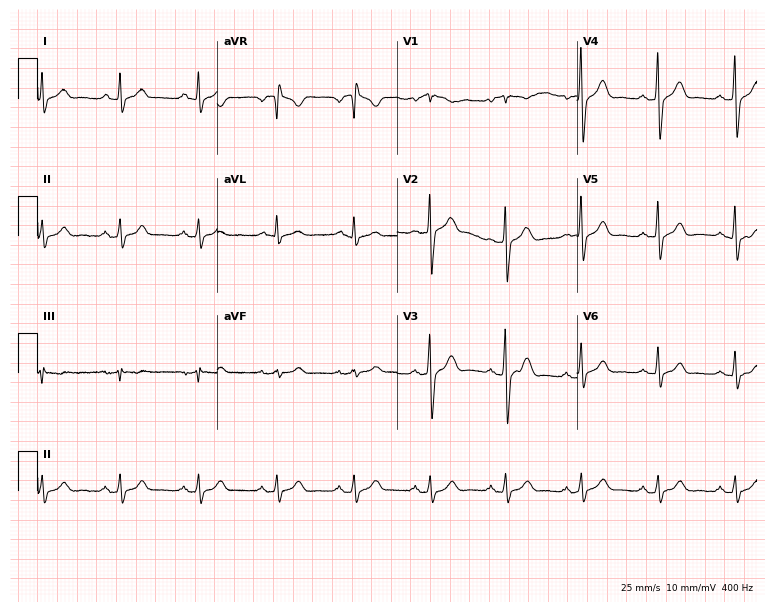
12-lead ECG from a 55-year-old man. Recorded interpretation: within normal limits.